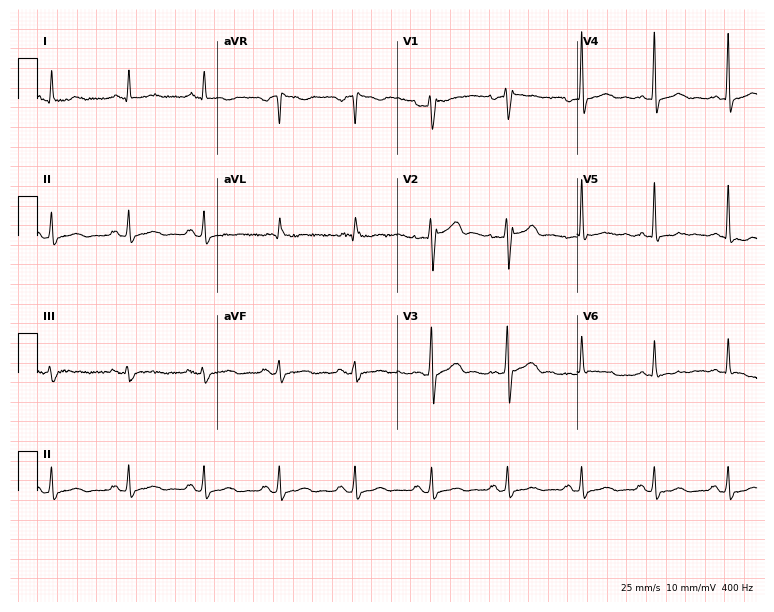
Standard 12-lead ECG recorded from a male, 42 years old (7.3-second recording at 400 Hz). None of these six findings is recorded: first-degree AV block, right bundle branch block (RBBB), left bundle branch block (LBBB), sinus bradycardia, atrial fibrillation (AF), sinus tachycardia.